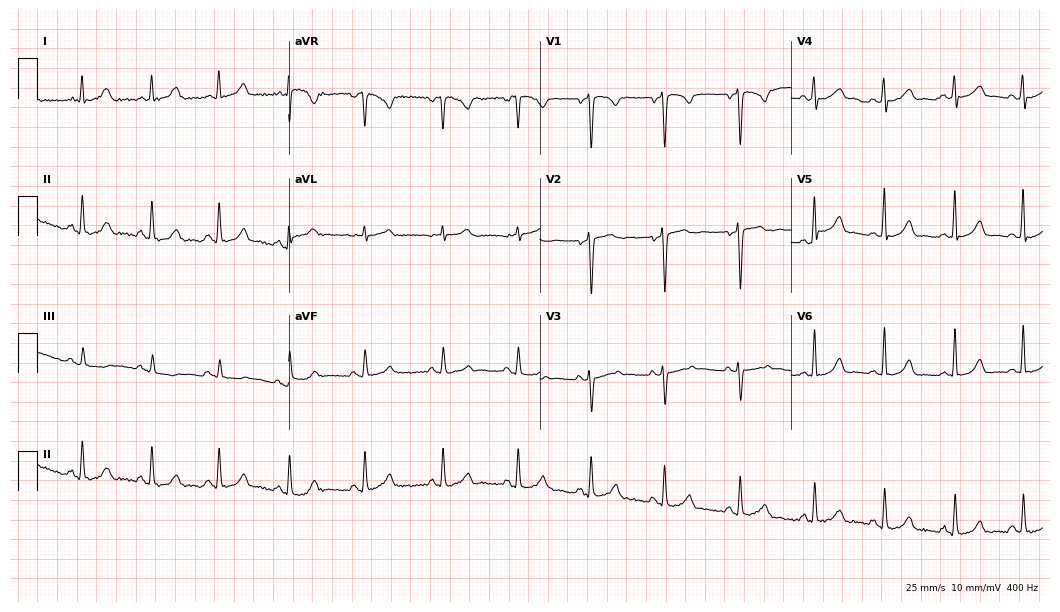
12-lead ECG from a 39-year-old female (10.2-second recording at 400 Hz). Recorded interpretation: within normal limits.